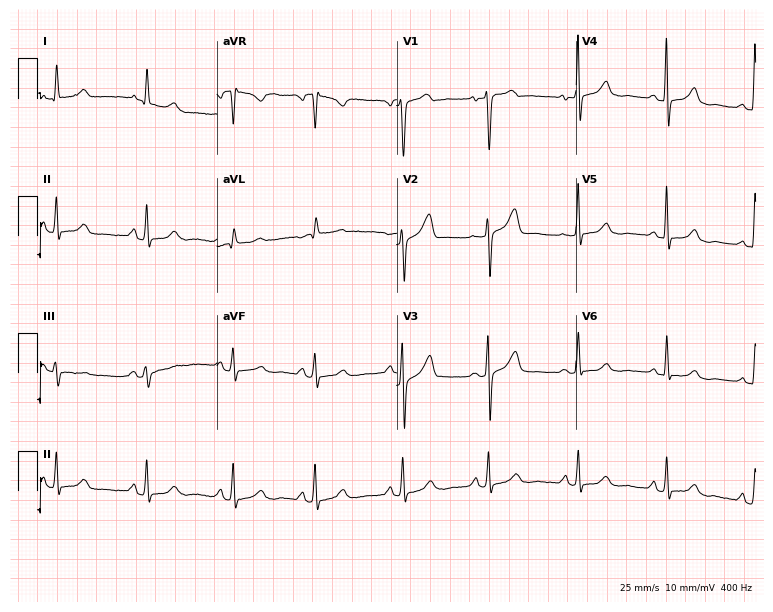
Standard 12-lead ECG recorded from a 57-year-old female patient. None of these six findings is recorded: first-degree AV block, right bundle branch block (RBBB), left bundle branch block (LBBB), sinus bradycardia, atrial fibrillation (AF), sinus tachycardia.